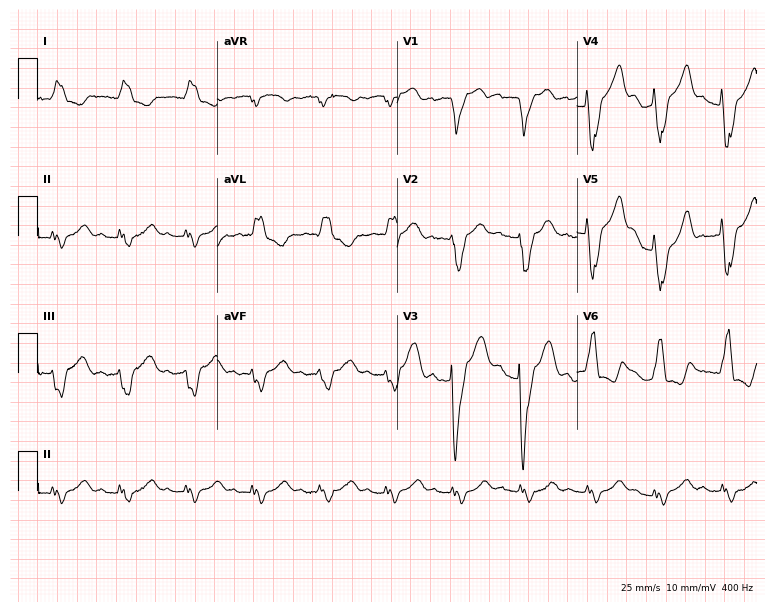
12-lead ECG from a 78-year-old male patient (7.3-second recording at 400 Hz). Shows left bundle branch block.